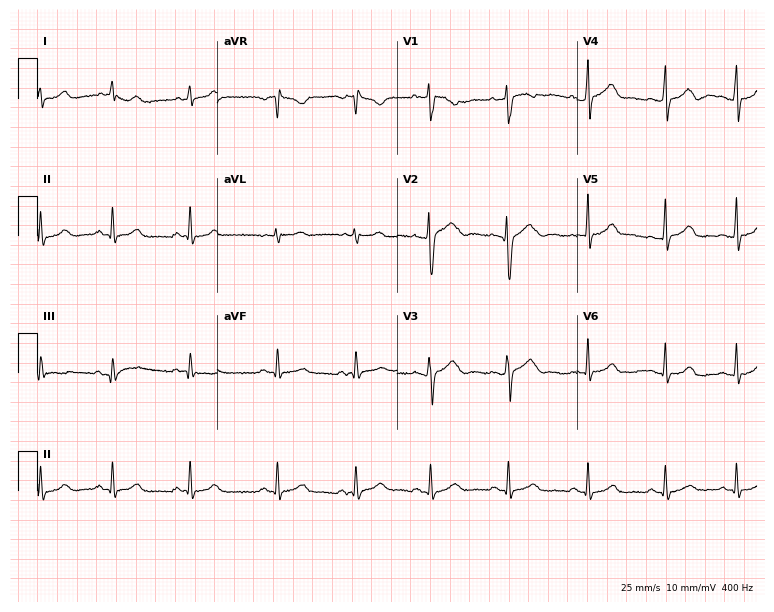
Standard 12-lead ECG recorded from a 26-year-old female patient. None of these six findings is recorded: first-degree AV block, right bundle branch block, left bundle branch block, sinus bradycardia, atrial fibrillation, sinus tachycardia. Only these six findings were labelled.